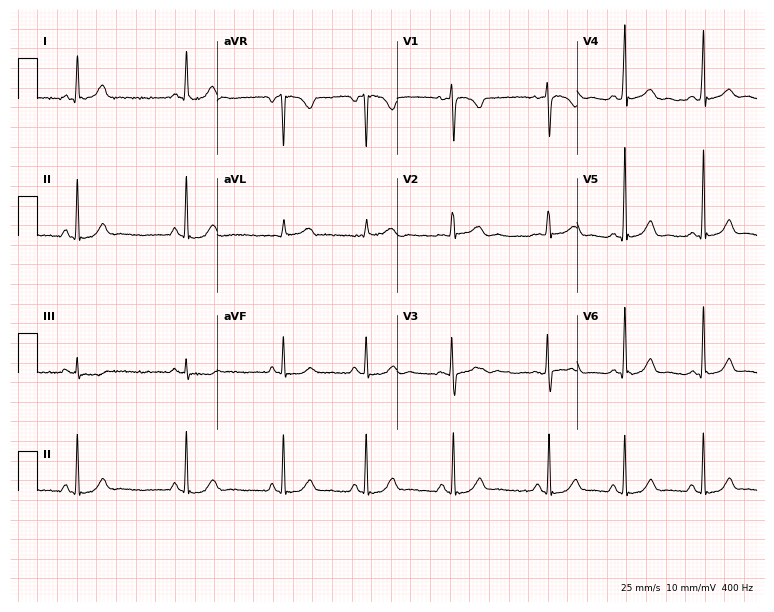
Standard 12-lead ECG recorded from a female, 32 years old. Read as a normal ECG.